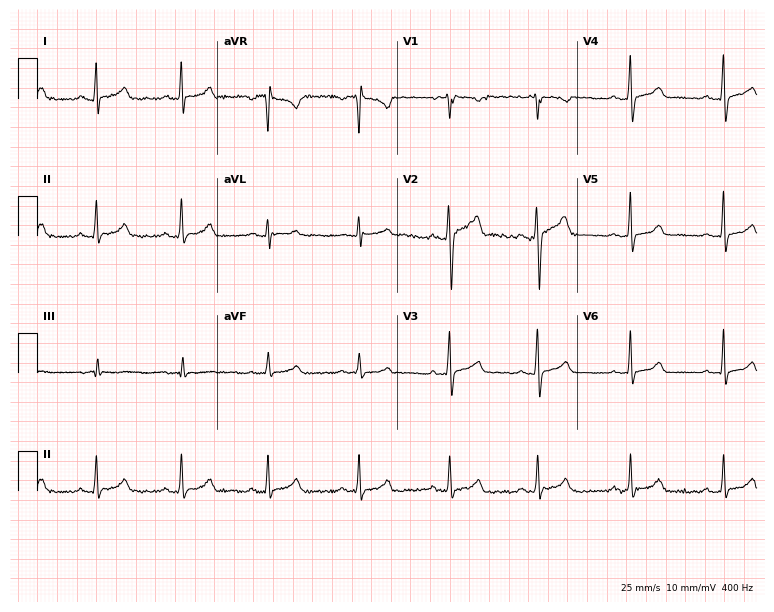
Standard 12-lead ECG recorded from a male patient, 33 years old (7.3-second recording at 400 Hz). Read as a normal ECG.